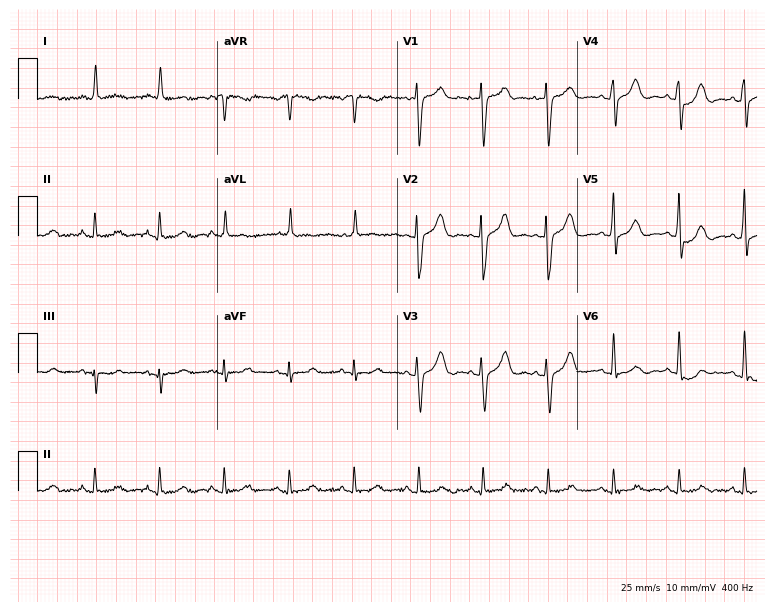
Electrocardiogram, a female, 81 years old. Overall reading on record: normal ECG.